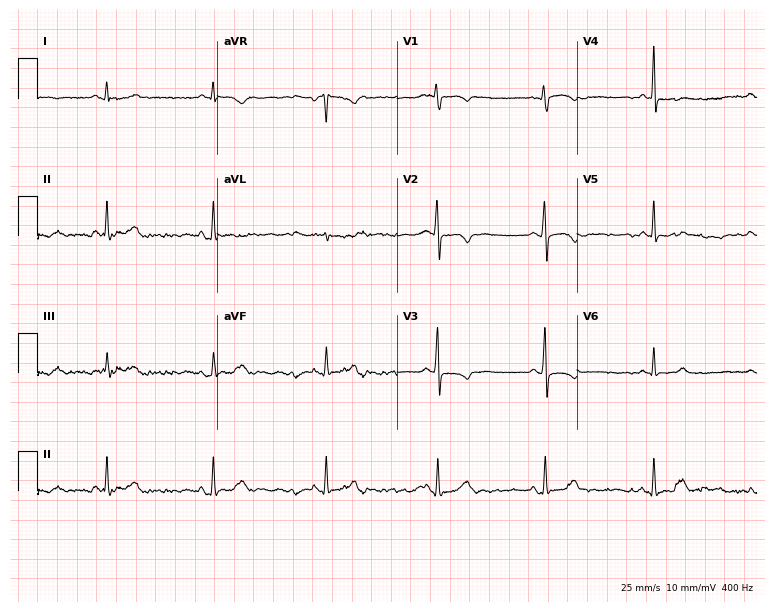
Electrocardiogram (7.3-second recording at 400 Hz), a woman, 43 years old. Overall reading on record: normal ECG.